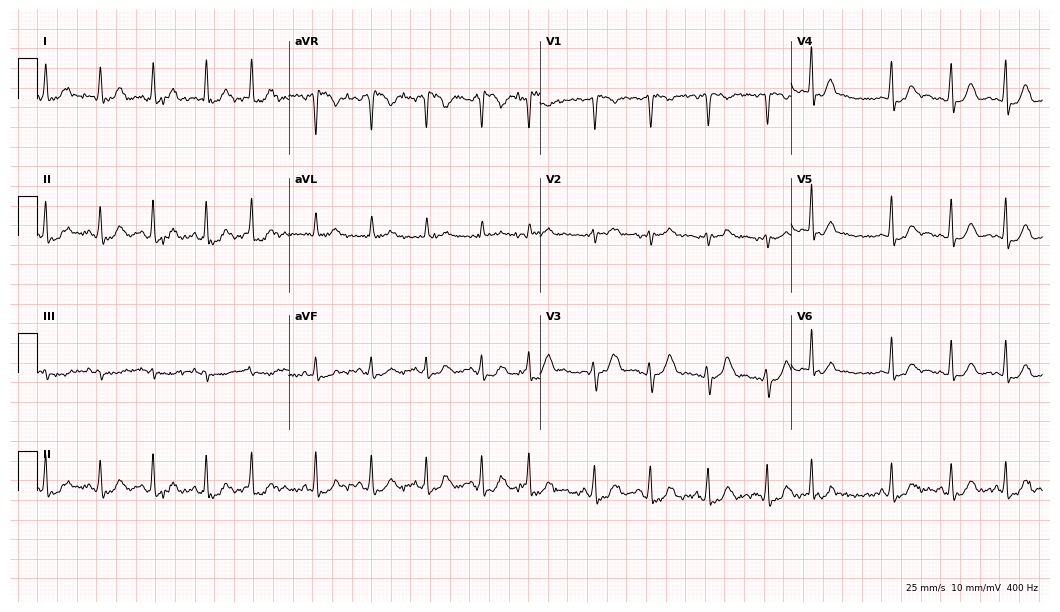
Standard 12-lead ECG recorded from a female patient, 33 years old (10.2-second recording at 400 Hz). The tracing shows atrial fibrillation, sinus tachycardia (a sinus rate of 100 beats per minute or more).